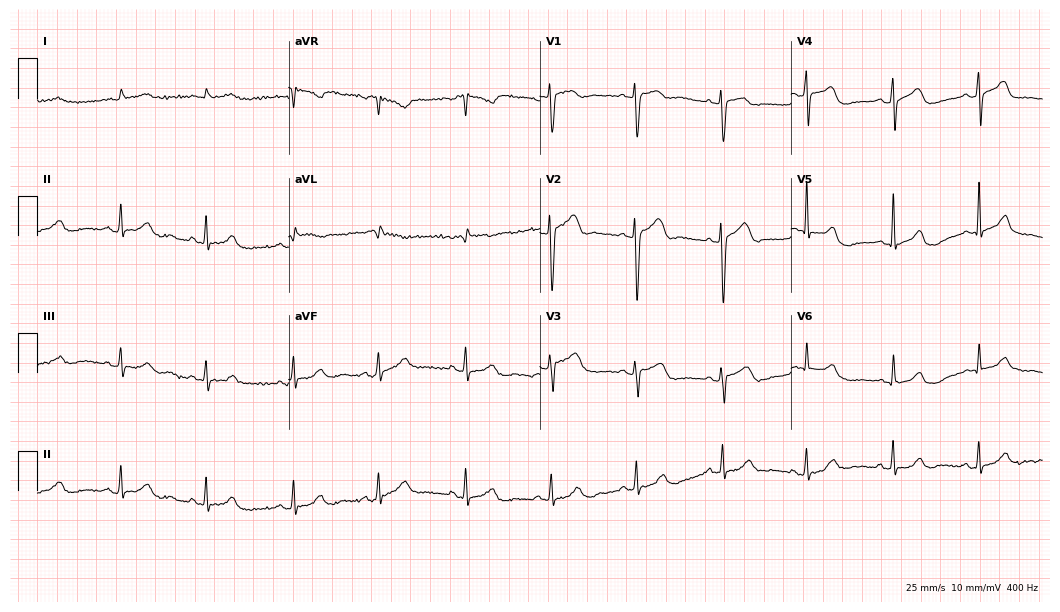
ECG — a female patient, 85 years old. Labelled as a normal ECG.